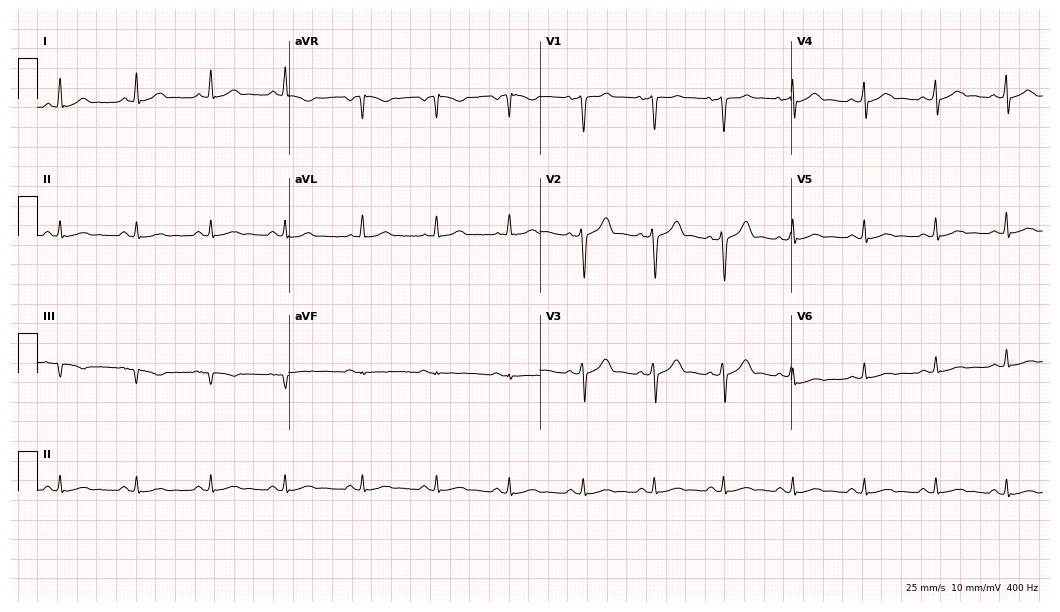
Resting 12-lead electrocardiogram (10.2-second recording at 400 Hz). Patient: a man, 43 years old. Read as a normal ECG.